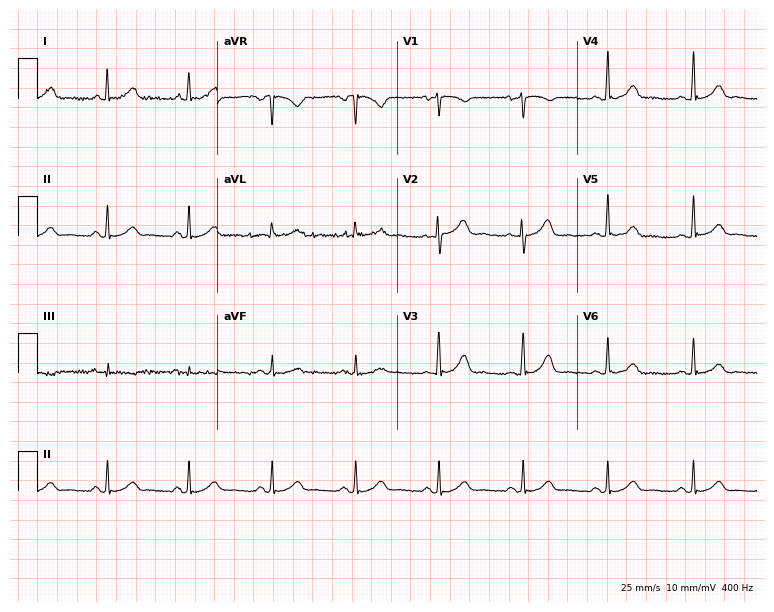
12-lead ECG (7.3-second recording at 400 Hz) from a woman, 65 years old. Labelled as a normal ECG.